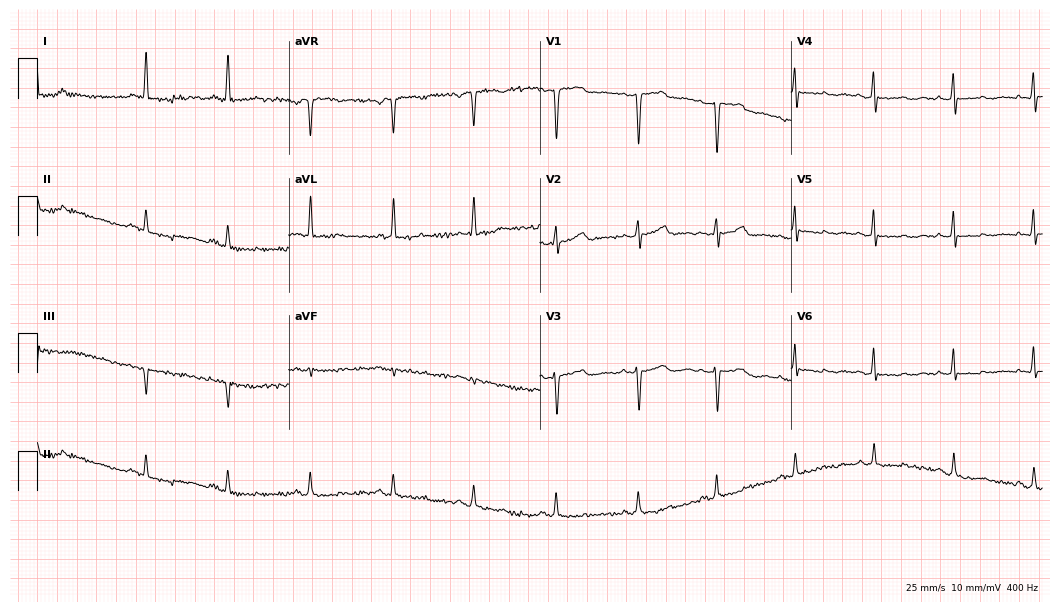
12-lead ECG from a woman, 59 years old. Screened for six findings — first-degree AV block, right bundle branch block, left bundle branch block, sinus bradycardia, atrial fibrillation, sinus tachycardia — none is recorded.